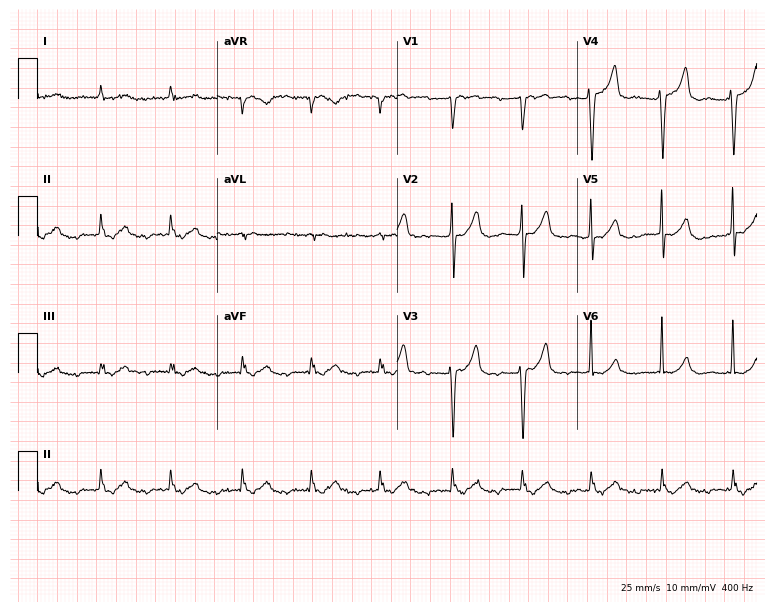
ECG — a female patient, 85 years old. Screened for six findings — first-degree AV block, right bundle branch block, left bundle branch block, sinus bradycardia, atrial fibrillation, sinus tachycardia — none is recorded.